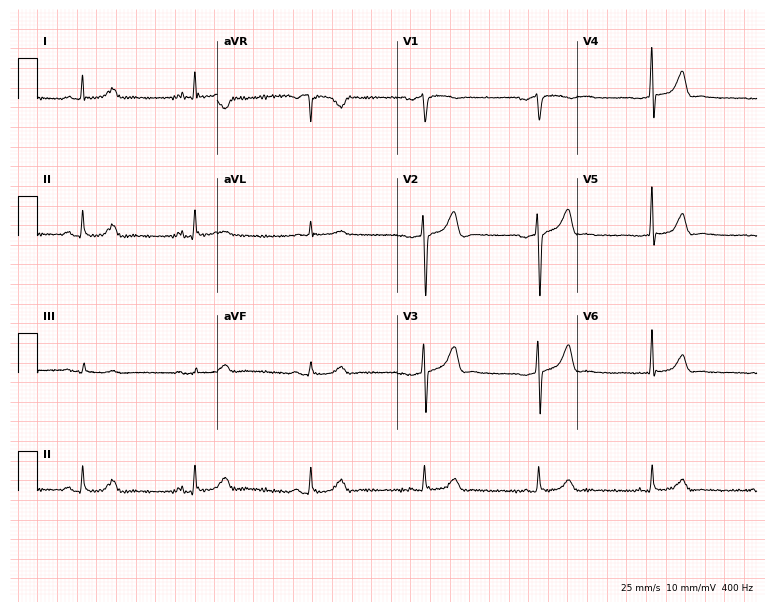
Standard 12-lead ECG recorded from a male patient, 64 years old. Read as a normal ECG.